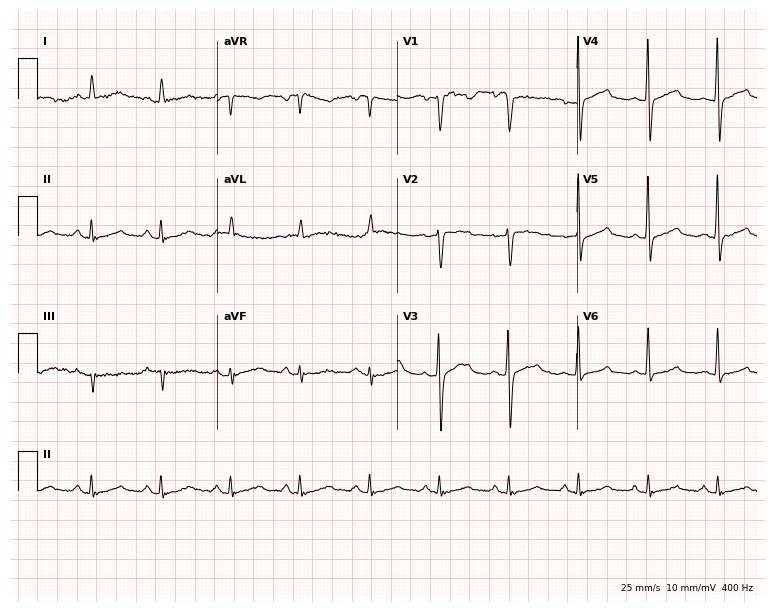
12-lead ECG from a 68-year-old male patient. Screened for six findings — first-degree AV block, right bundle branch block, left bundle branch block, sinus bradycardia, atrial fibrillation, sinus tachycardia — none is recorded.